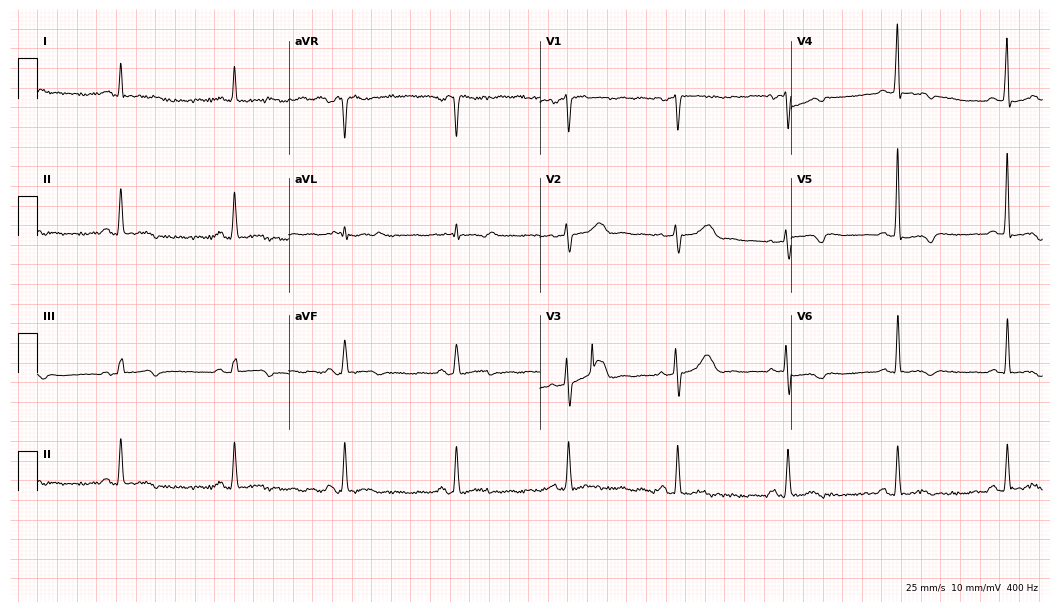
Electrocardiogram (10.2-second recording at 400 Hz), a woman, 59 years old. Of the six screened findings (first-degree AV block, right bundle branch block, left bundle branch block, sinus bradycardia, atrial fibrillation, sinus tachycardia), none is recorded. Other findings, if any, are not listed.